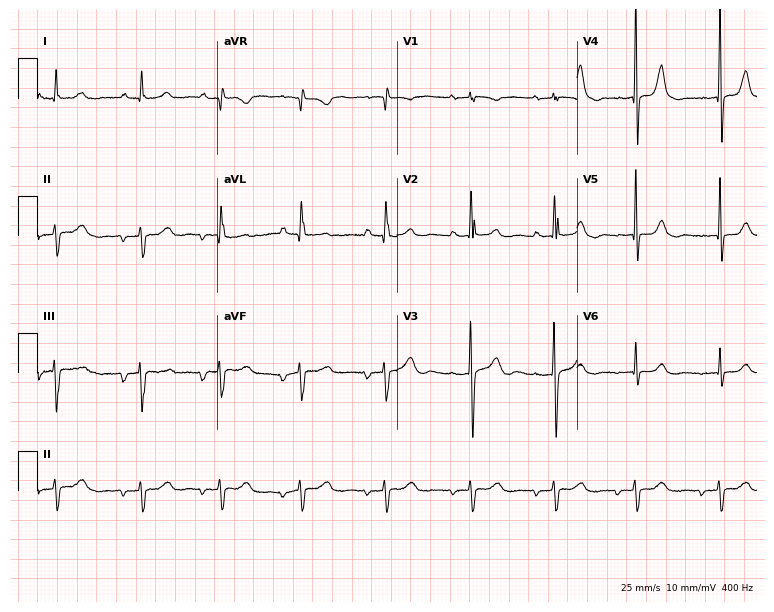
Standard 12-lead ECG recorded from a 30-year-old female patient. None of these six findings is recorded: first-degree AV block, right bundle branch block (RBBB), left bundle branch block (LBBB), sinus bradycardia, atrial fibrillation (AF), sinus tachycardia. Findings outside these six are not listed.